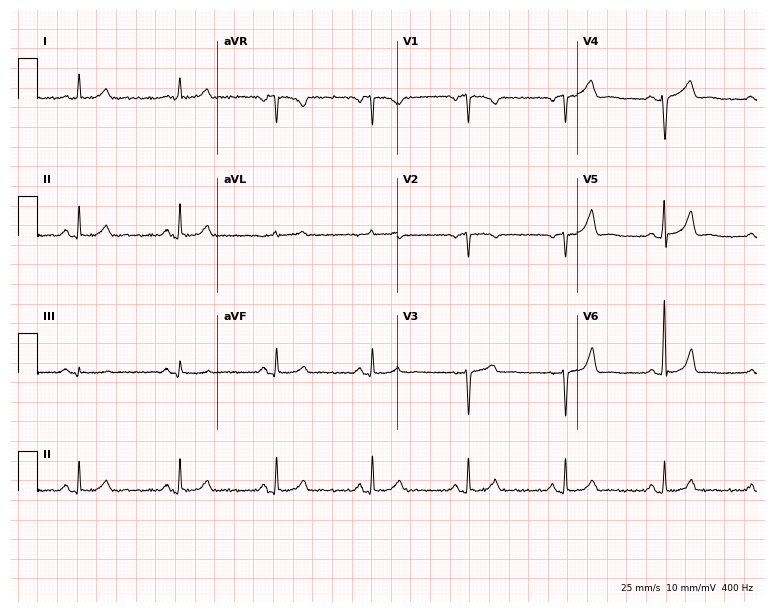
12-lead ECG (7.3-second recording at 400 Hz) from a woman, 49 years old. Screened for six findings — first-degree AV block, right bundle branch block, left bundle branch block, sinus bradycardia, atrial fibrillation, sinus tachycardia — none is recorded. Other findings, if any, are not listed.